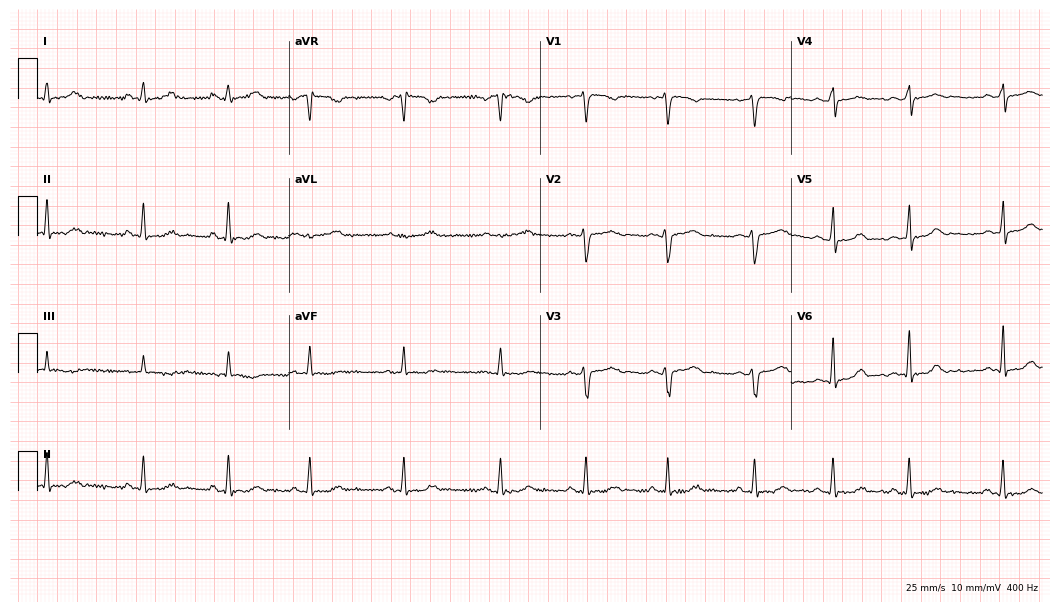
ECG — a 21-year-old female patient. Labelled as a normal ECG.